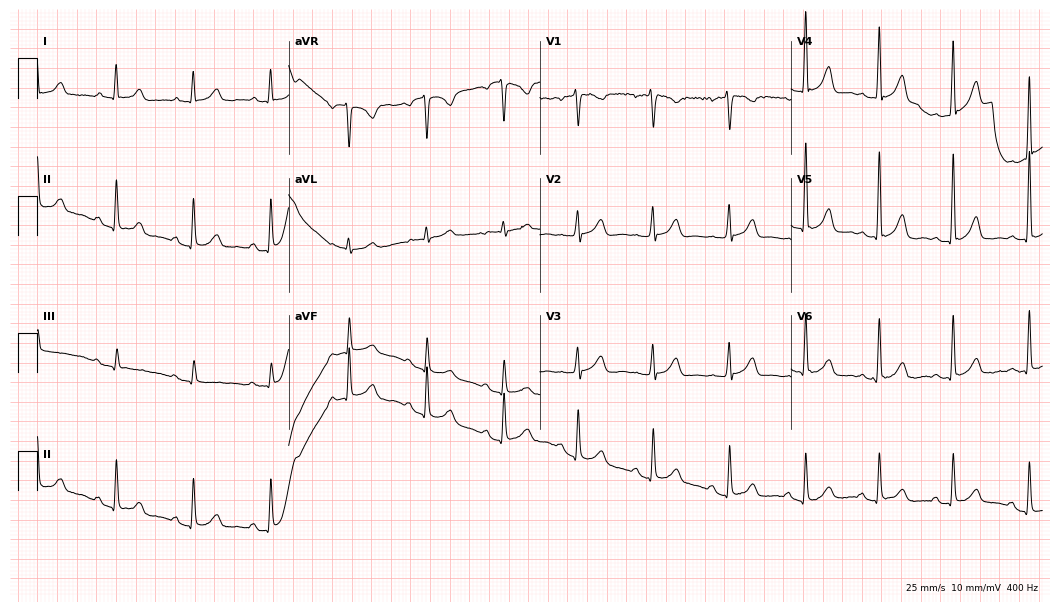
ECG (10.2-second recording at 400 Hz) — a female, 57 years old. Labelled as a normal ECG.